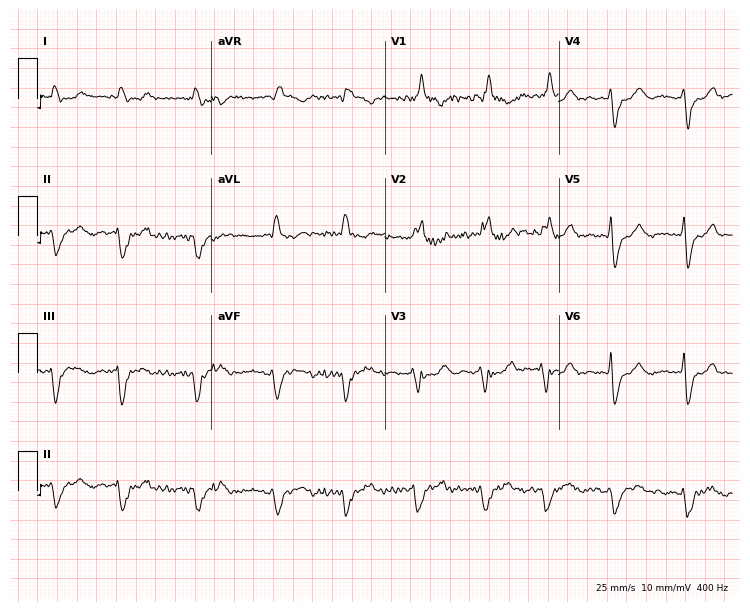
Standard 12-lead ECG recorded from a male patient, 78 years old (7.1-second recording at 400 Hz). The tracing shows right bundle branch block (RBBB), atrial fibrillation (AF).